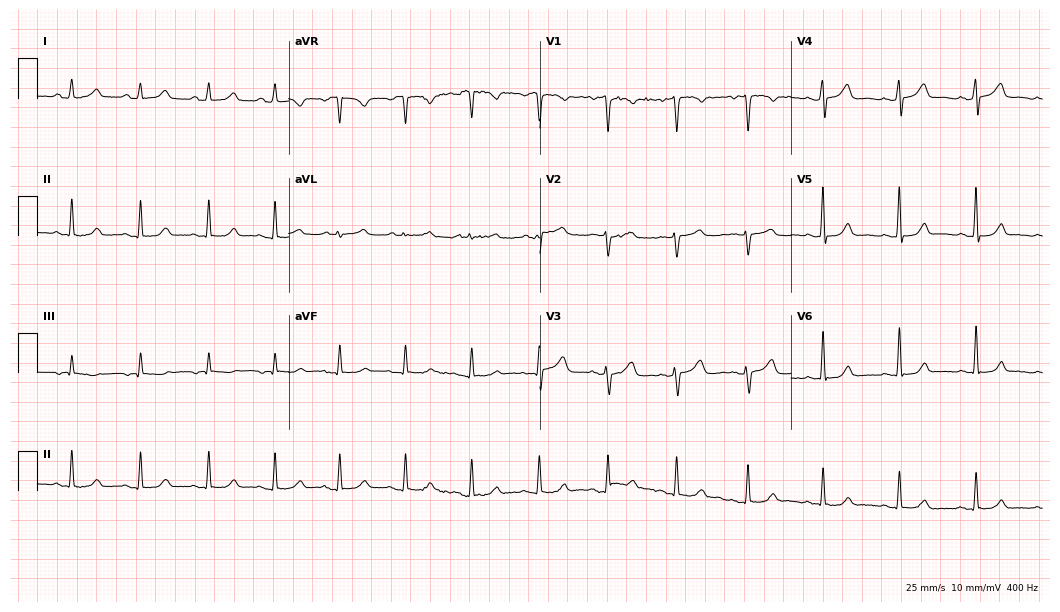
12-lead ECG from a 46-year-old woman. Recorded interpretation: within normal limits.